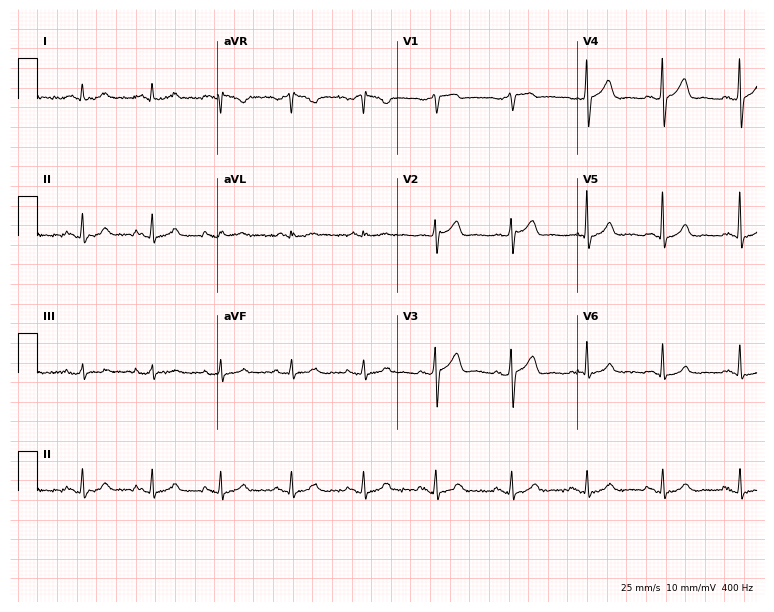
Electrocardiogram (7.3-second recording at 400 Hz), a man, 64 years old. Overall reading on record: normal ECG.